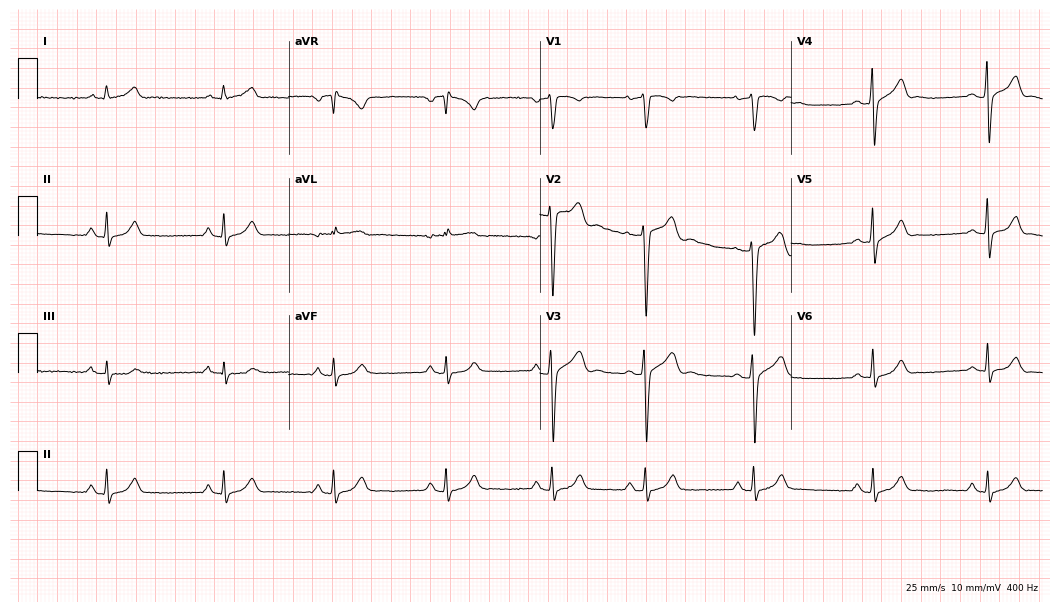
Electrocardiogram (10.2-second recording at 400 Hz), a male, 35 years old. Of the six screened findings (first-degree AV block, right bundle branch block (RBBB), left bundle branch block (LBBB), sinus bradycardia, atrial fibrillation (AF), sinus tachycardia), none is recorded.